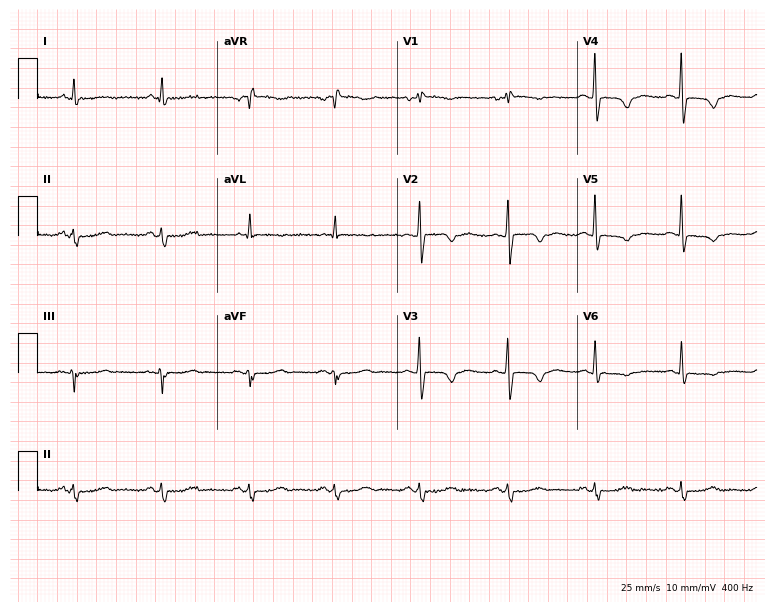
Standard 12-lead ECG recorded from a 72-year-old female. None of these six findings is recorded: first-degree AV block, right bundle branch block, left bundle branch block, sinus bradycardia, atrial fibrillation, sinus tachycardia. Findings outside these six are not listed.